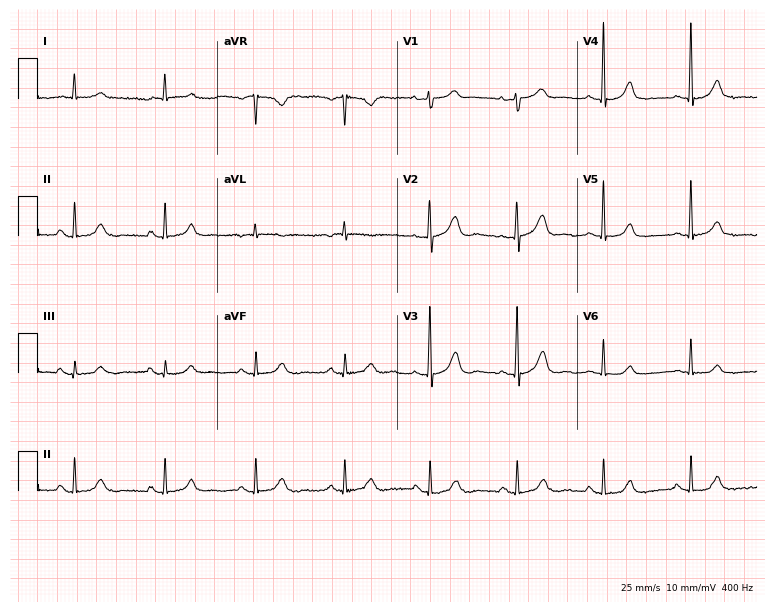
12-lead ECG from a female, 81 years old (7.3-second recording at 400 Hz). No first-degree AV block, right bundle branch block, left bundle branch block, sinus bradycardia, atrial fibrillation or sinus tachycardia recorded for this tracing.